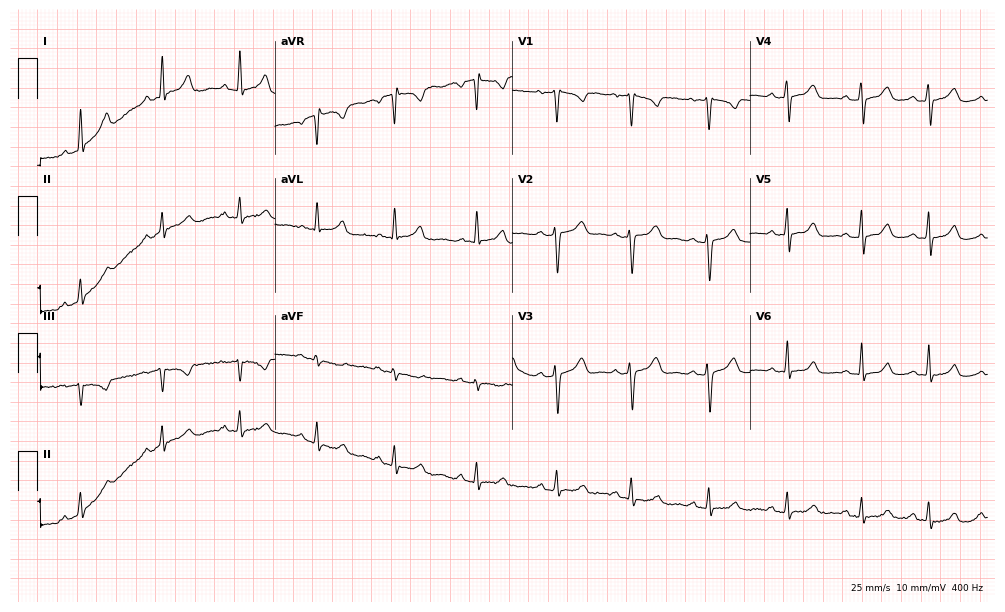
Electrocardiogram, a female patient, 19 years old. Overall reading on record: normal ECG.